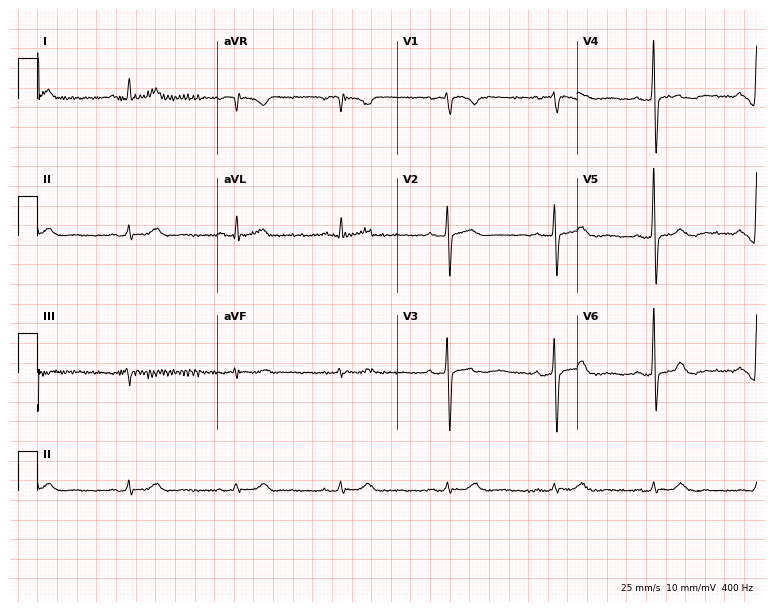
Resting 12-lead electrocardiogram. Patient: a 68-year-old male. None of these six findings is recorded: first-degree AV block, right bundle branch block (RBBB), left bundle branch block (LBBB), sinus bradycardia, atrial fibrillation (AF), sinus tachycardia. Only these six findings were labelled.